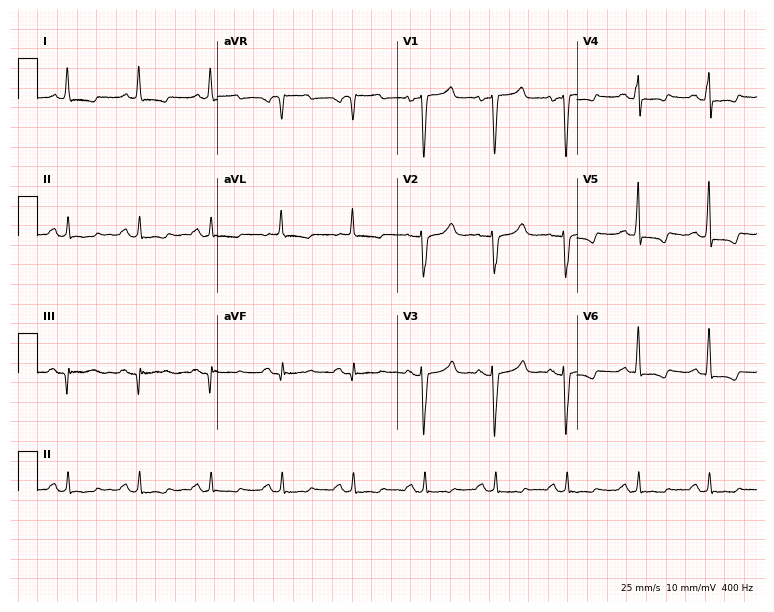
12-lead ECG from a female, 43 years old. No first-degree AV block, right bundle branch block (RBBB), left bundle branch block (LBBB), sinus bradycardia, atrial fibrillation (AF) or sinus tachycardia recorded for this tracing.